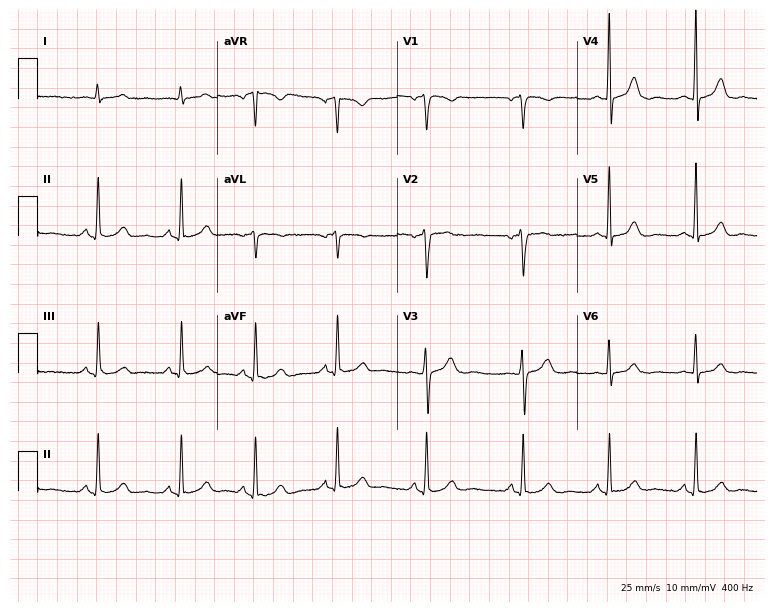
Electrocardiogram (7.3-second recording at 400 Hz), a female, 30 years old. Of the six screened findings (first-degree AV block, right bundle branch block, left bundle branch block, sinus bradycardia, atrial fibrillation, sinus tachycardia), none is recorded.